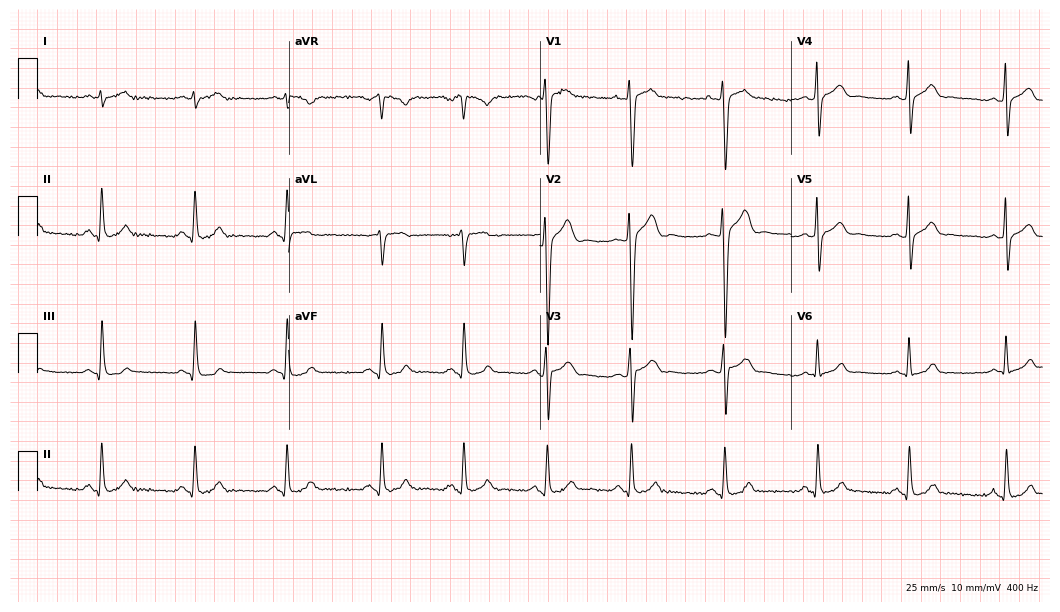
Standard 12-lead ECG recorded from a male, 26 years old (10.2-second recording at 400 Hz). Read as a normal ECG.